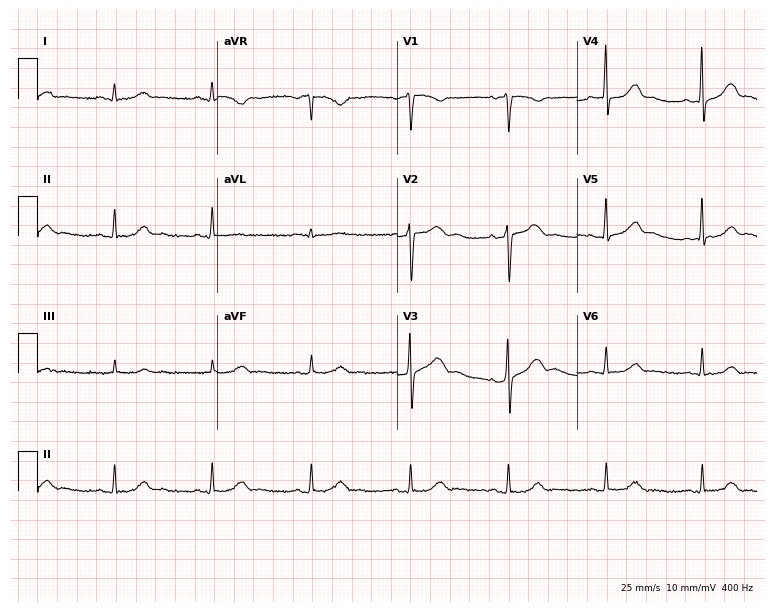
12-lead ECG from a 59-year-old man. Recorded interpretation: within normal limits.